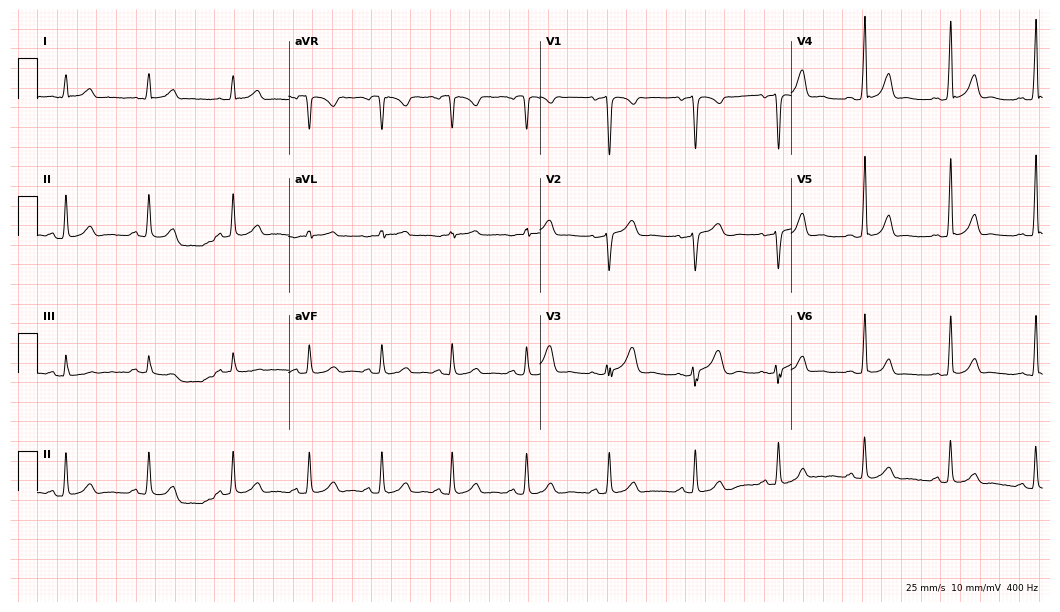
ECG — a 27-year-old female. Labelled as a normal ECG.